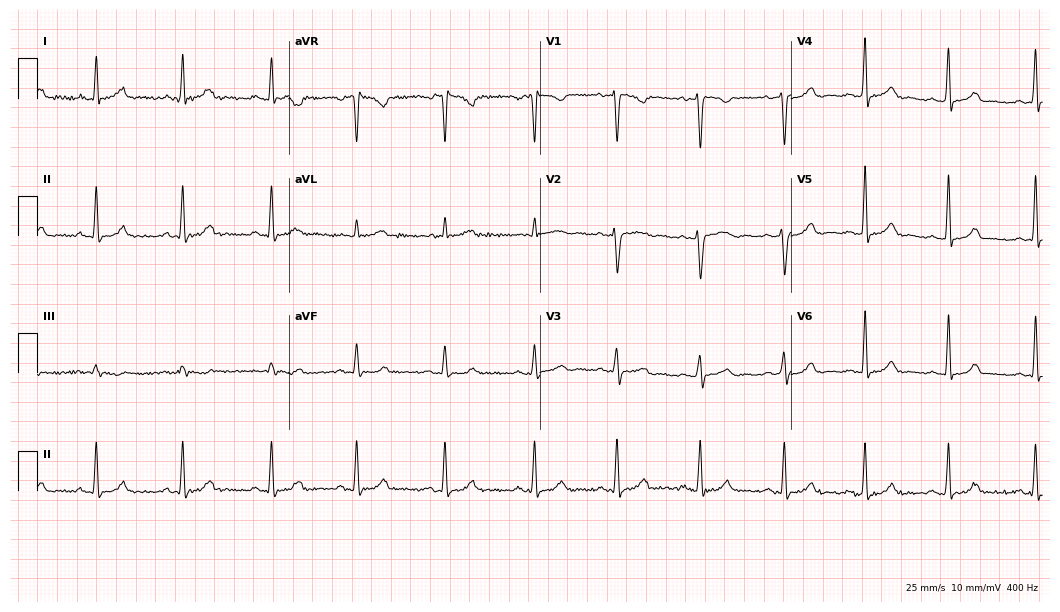
Electrocardiogram (10.2-second recording at 400 Hz), a female, 38 years old. Overall reading on record: normal ECG.